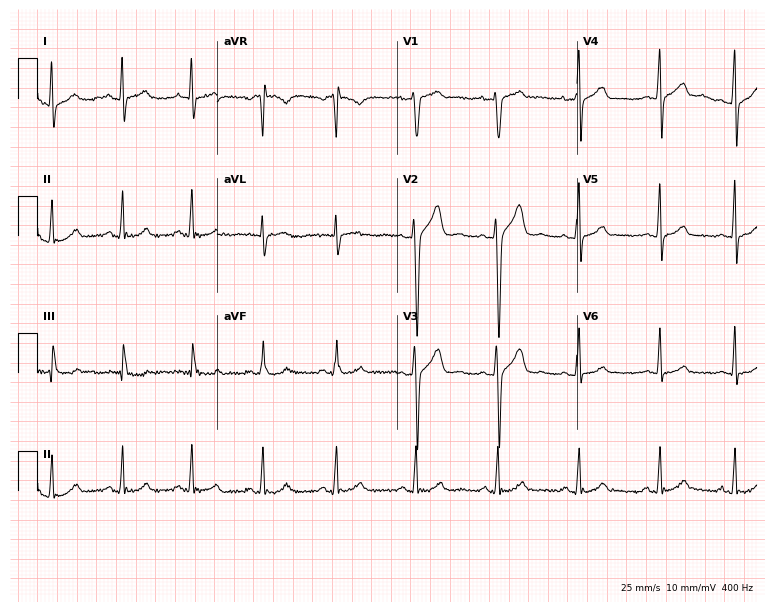
12-lead ECG from a 19-year-old female. Screened for six findings — first-degree AV block, right bundle branch block, left bundle branch block, sinus bradycardia, atrial fibrillation, sinus tachycardia — none is recorded.